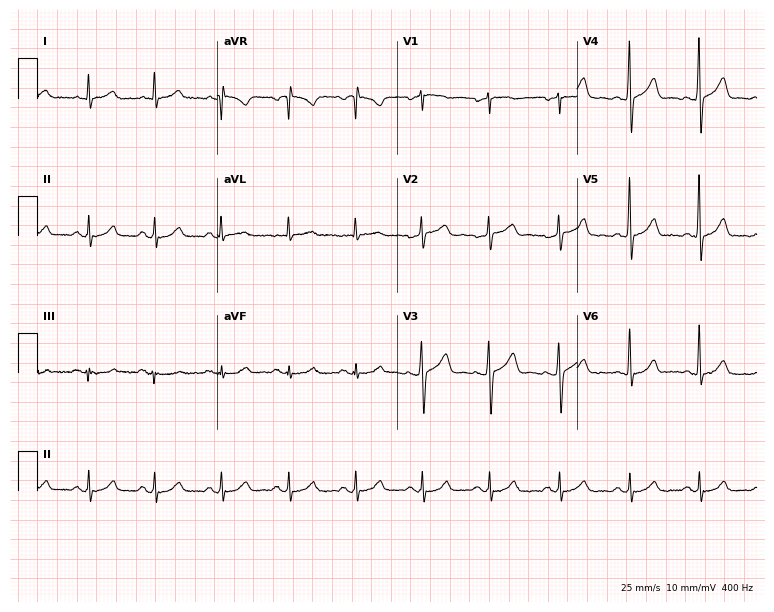
Electrocardiogram (7.3-second recording at 400 Hz), a 58-year-old male patient. Overall reading on record: normal ECG.